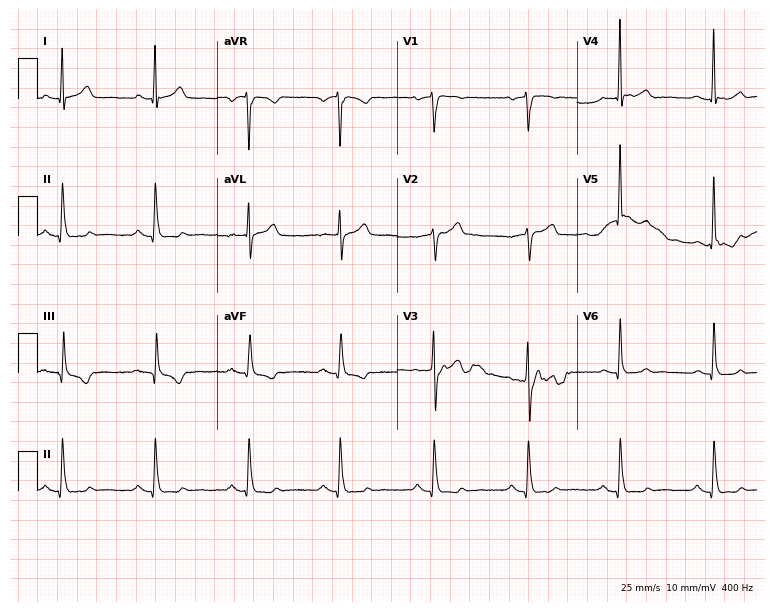
12-lead ECG from a man, 64 years old. No first-degree AV block, right bundle branch block (RBBB), left bundle branch block (LBBB), sinus bradycardia, atrial fibrillation (AF) or sinus tachycardia recorded for this tracing. Findings outside these six are not listed.